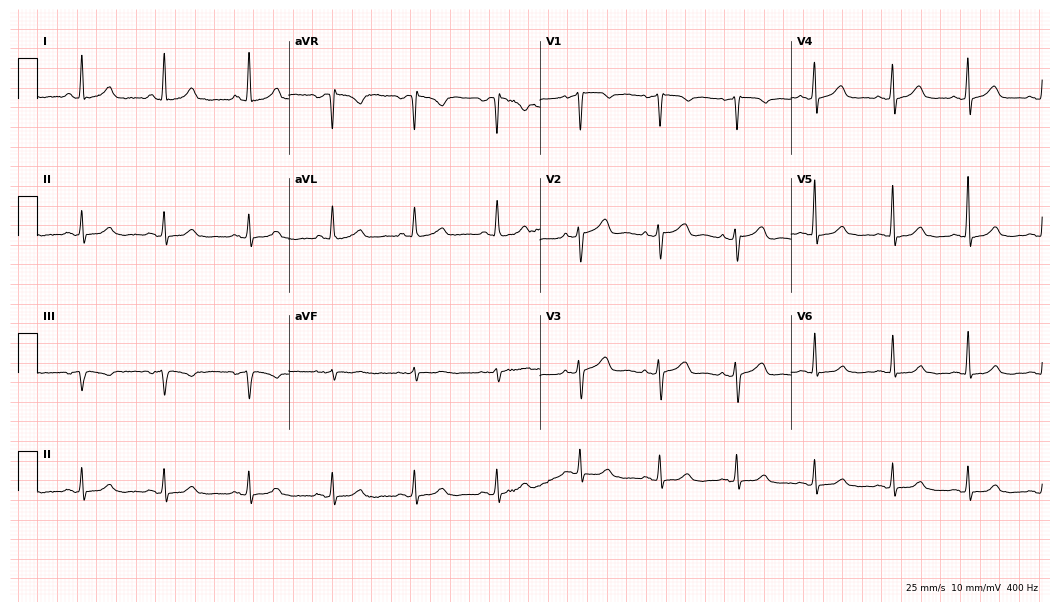
12-lead ECG from a female patient, 56 years old. Labelled as a normal ECG.